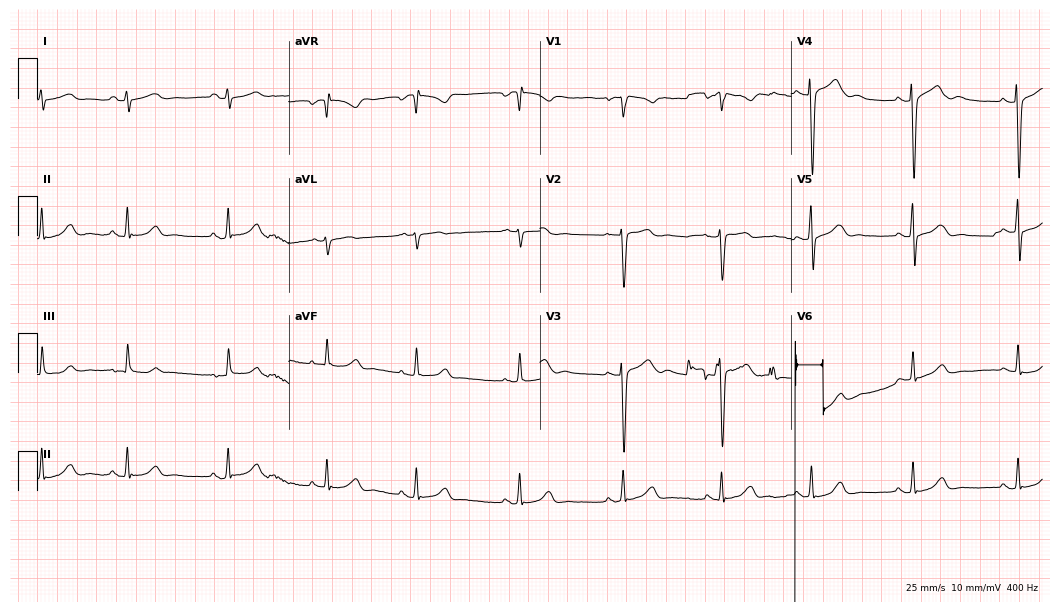
Standard 12-lead ECG recorded from a 23-year-old woman. None of these six findings is recorded: first-degree AV block, right bundle branch block (RBBB), left bundle branch block (LBBB), sinus bradycardia, atrial fibrillation (AF), sinus tachycardia. Findings outside these six are not listed.